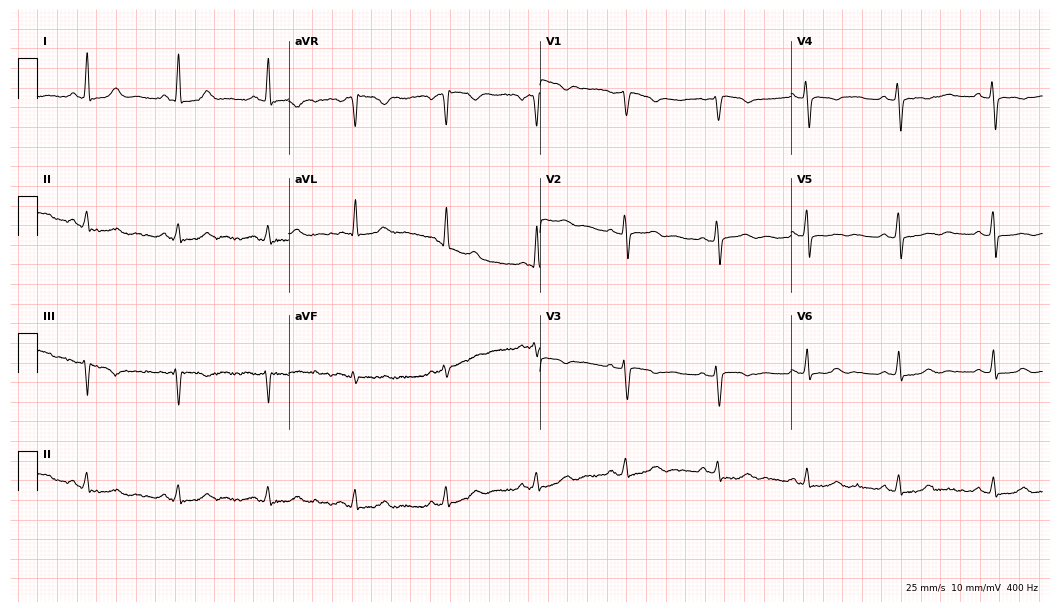
ECG — a female patient, 64 years old. Screened for six findings — first-degree AV block, right bundle branch block (RBBB), left bundle branch block (LBBB), sinus bradycardia, atrial fibrillation (AF), sinus tachycardia — none is recorded.